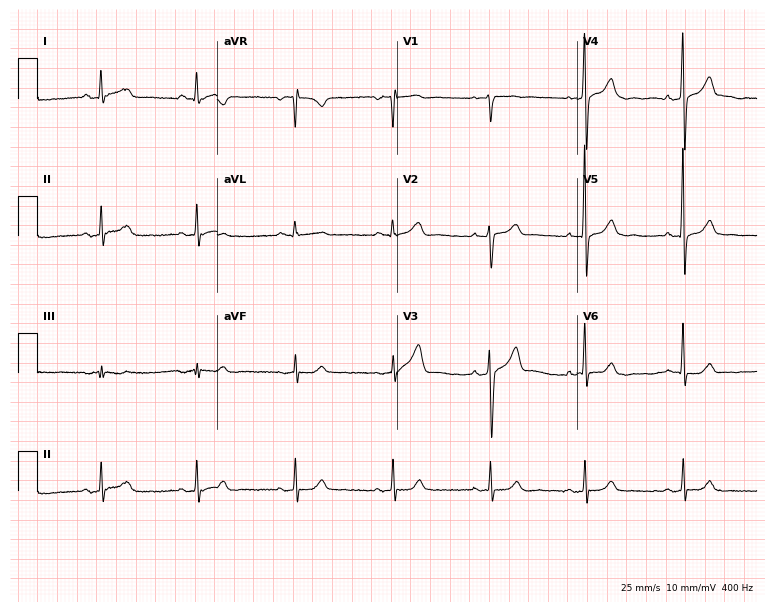
Electrocardiogram, a male, 54 years old. Overall reading on record: normal ECG.